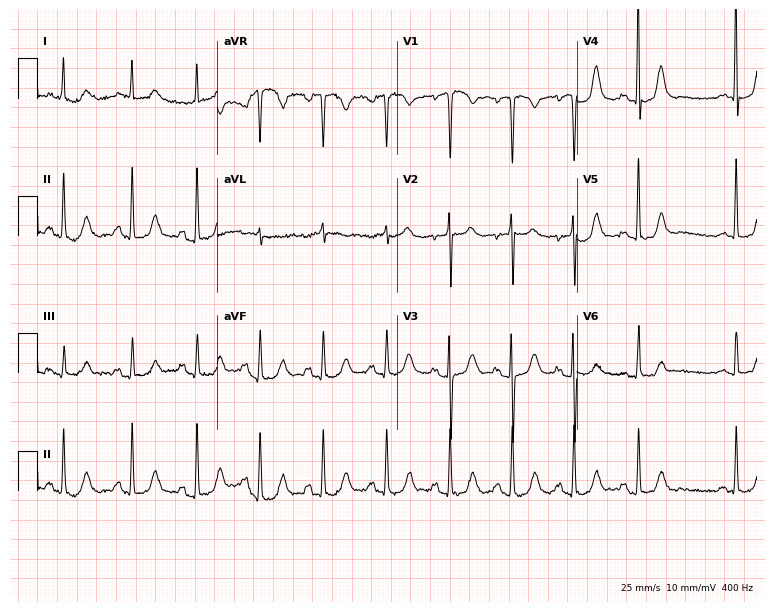
Standard 12-lead ECG recorded from an 84-year-old female patient. None of these six findings is recorded: first-degree AV block, right bundle branch block (RBBB), left bundle branch block (LBBB), sinus bradycardia, atrial fibrillation (AF), sinus tachycardia.